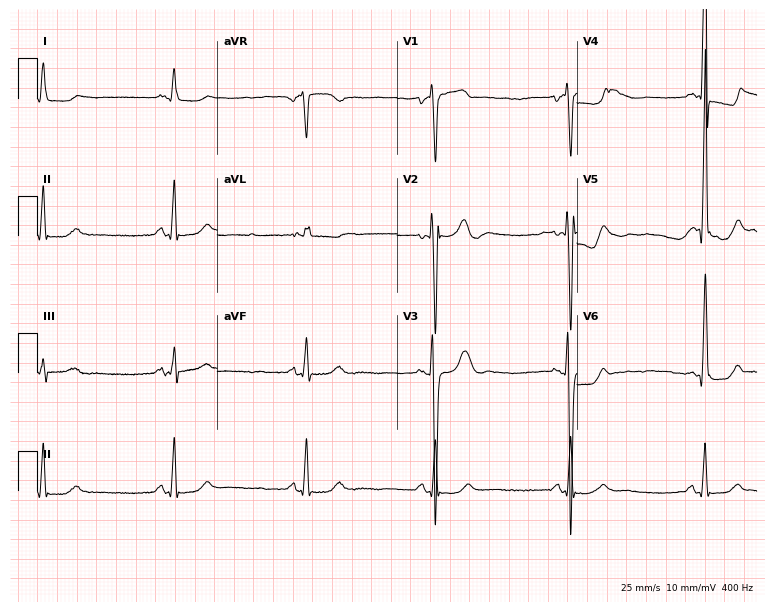
Standard 12-lead ECG recorded from a male, 64 years old. The tracing shows sinus bradycardia (a sinus rate of 50 beats per minute or less).